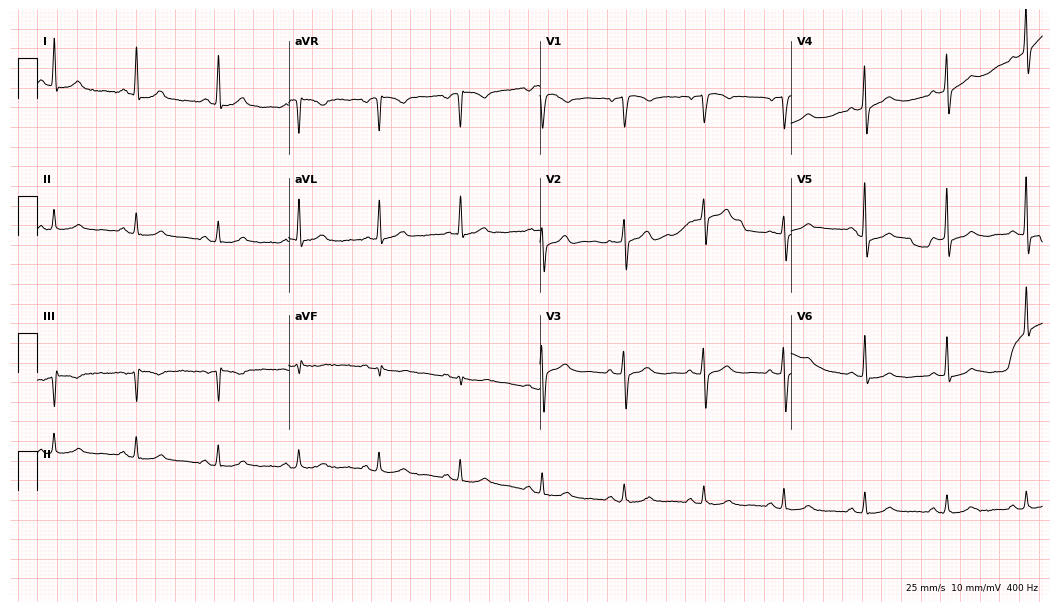
Electrocardiogram (10.2-second recording at 400 Hz), a male patient, 81 years old. Of the six screened findings (first-degree AV block, right bundle branch block, left bundle branch block, sinus bradycardia, atrial fibrillation, sinus tachycardia), none is recorded. Other findings, if any, are not listed.